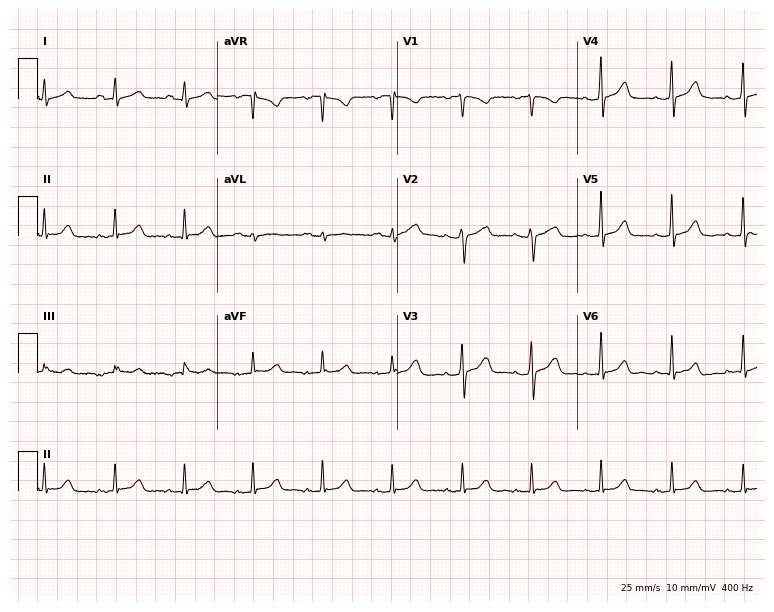
Resting 12-lead electrocardiogram (7.3-second recording at 400 Hz). Patient: a 41-year-old female. Read as a normal ECG.